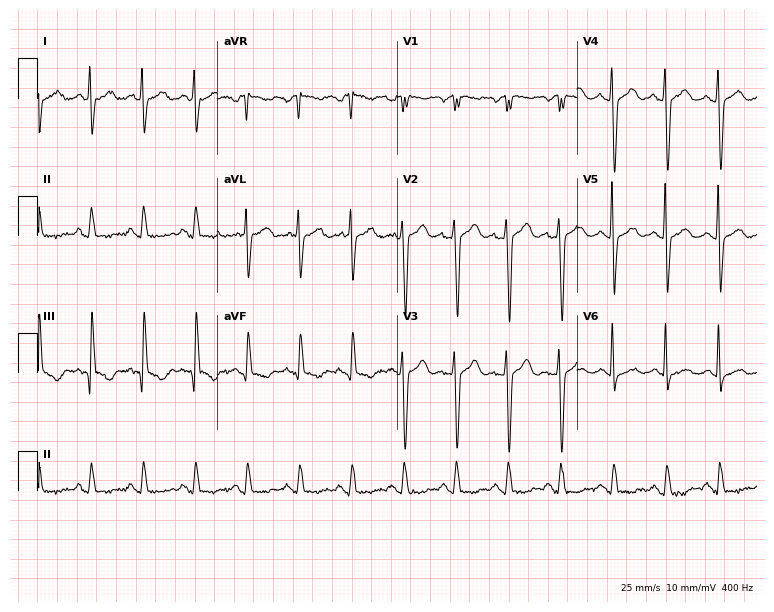
Standard 12-lead ECG recorded from a male patient, 48 years old. The tracing shows sinus tachycardia (a sinus rate of 100 beats per minute or more).